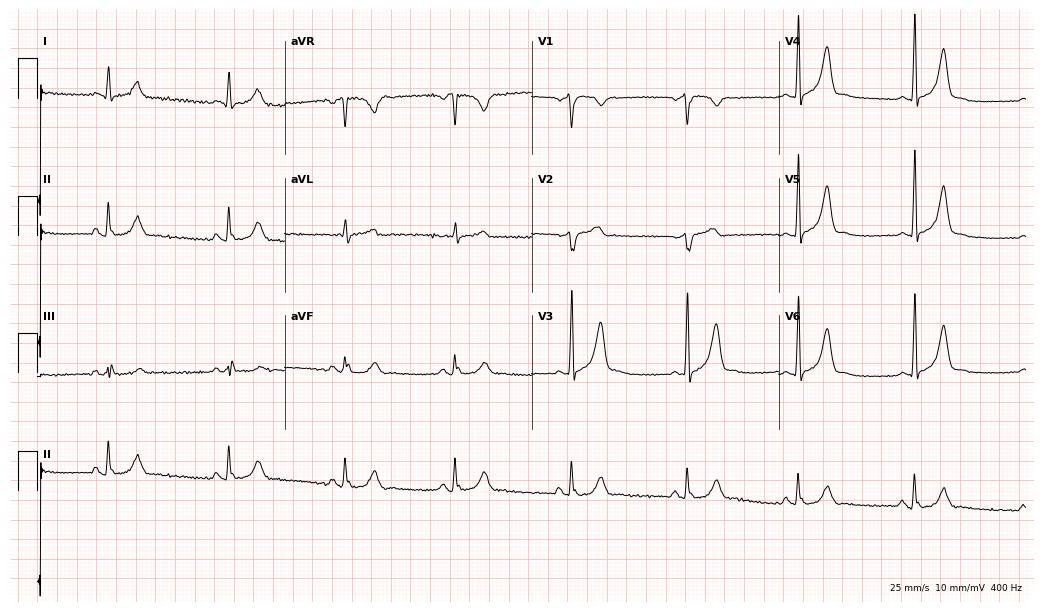
ECG — a male, 50 years old. Labelled as a normal ECG.